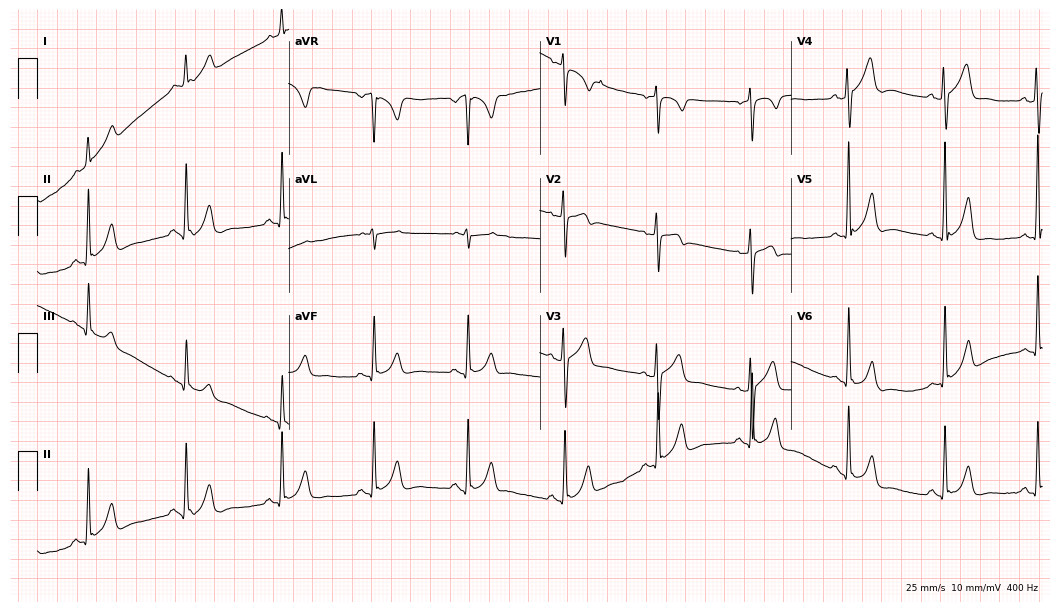
Resting 12-lead electrocardiogram. Patient: a 54-year-old man. Read as a normal ECG.